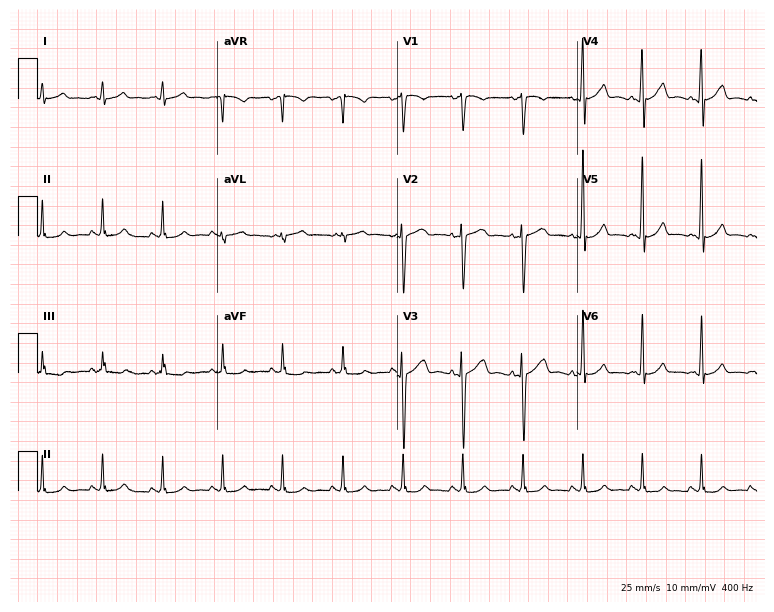
Electrocardiogram, a man, 45 years old. Of the six screened findings (first-degree AV block, right bundle branch block (RBBB), left bundle branch block (LBBB), sinus bradycardia, atrial fibrillation (AF), sinus tachycardia), none is recorded.